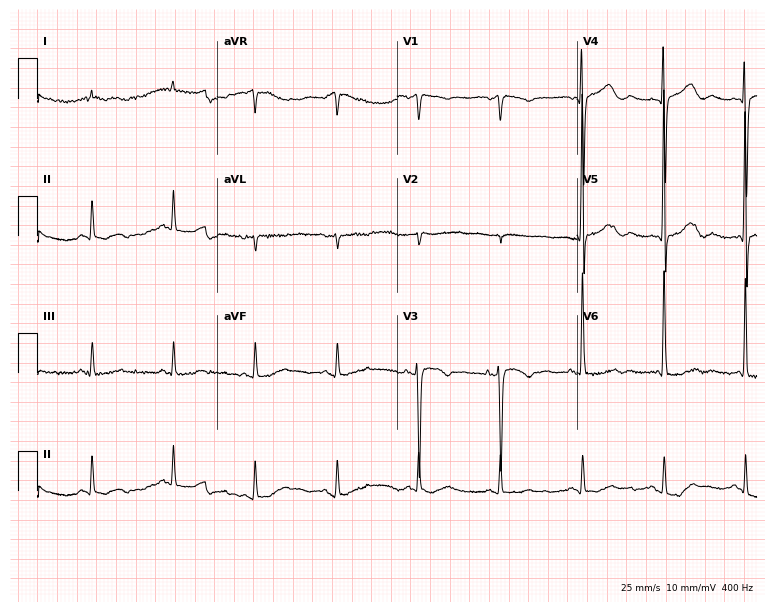
Standard 12-lead ECG recorded from a 74-year-old woman (7.3-second recording at 400 Hz). None of these six findings is recorded: first-degree AV block, right bundle branch block, left bundle branch block, sinus bradycardia, atrial fibrillation, sinus tachycardia.